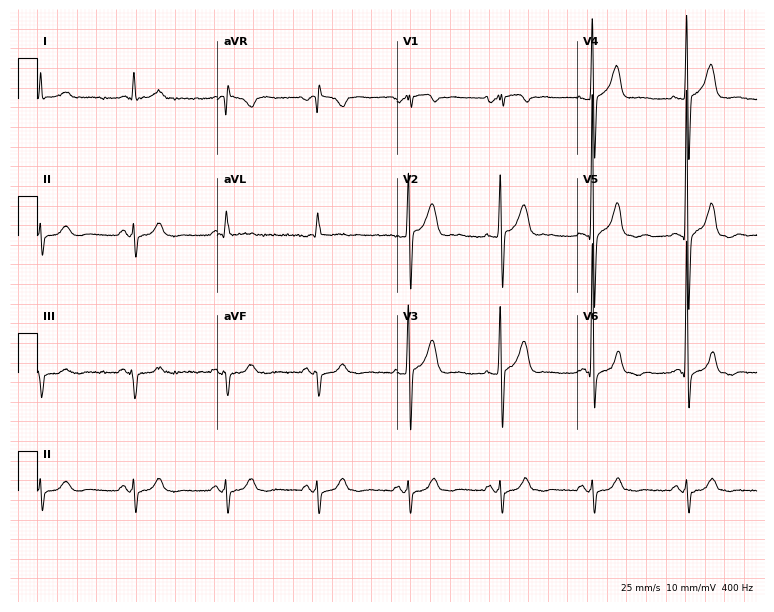
12-lead ECG from a male patient, 66 years old. No first-degree AV block, right bundle branch block, left bundle branch block, sinus bradycardia, atrial fibrillation or sinus tachycardia recorded for this tracing. Other findings, if any, are not listed.